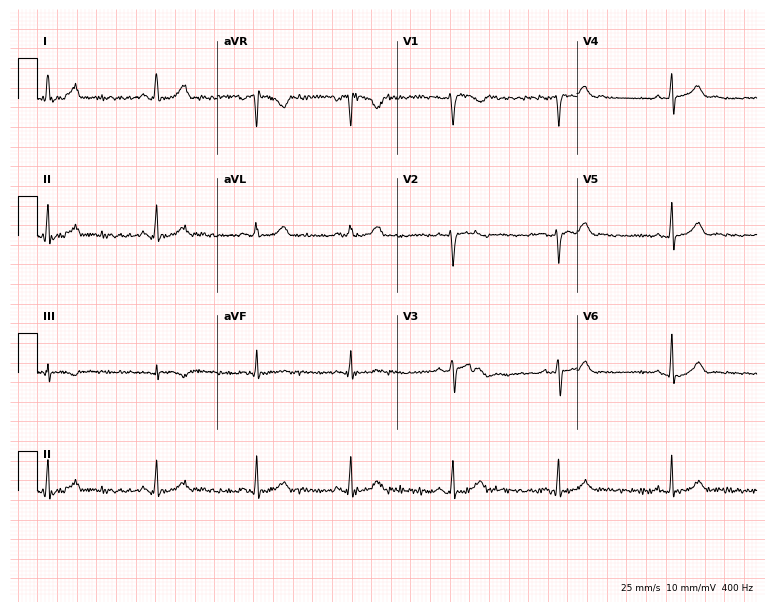
12-lead ECG (7.3-second recording at 400 Hz) from a 30-year-old woman. Labelled as a normal ECG.